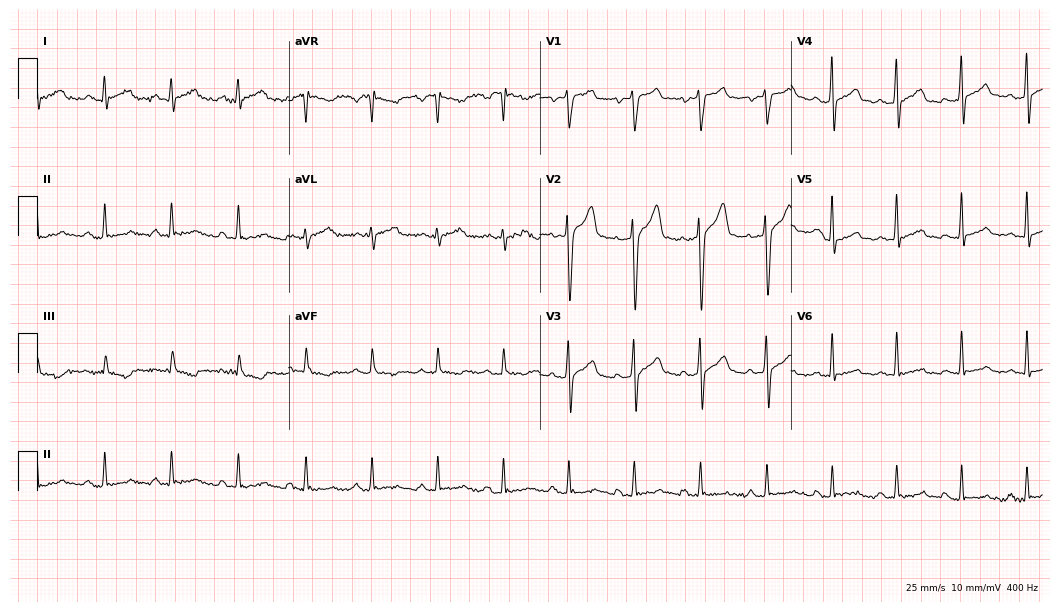
Electrocardiogram, a 37-year-old female patient. Overall reading on record: normal ECG.